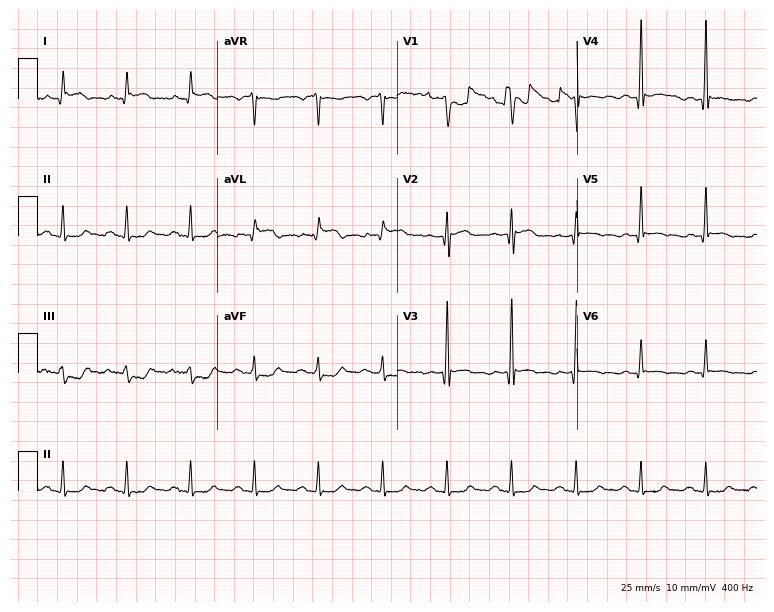
Standard 12-lead ECG recorded from a male, 78 years old (7.3-second recording at 400 Hz). None of these six findings is recorded: first-degree AV block, right bundle branch block, left bundle branch block, sinus bradycardia, atrial fibrillation, sinus tachycardia. Other findings, if any, are not listed.